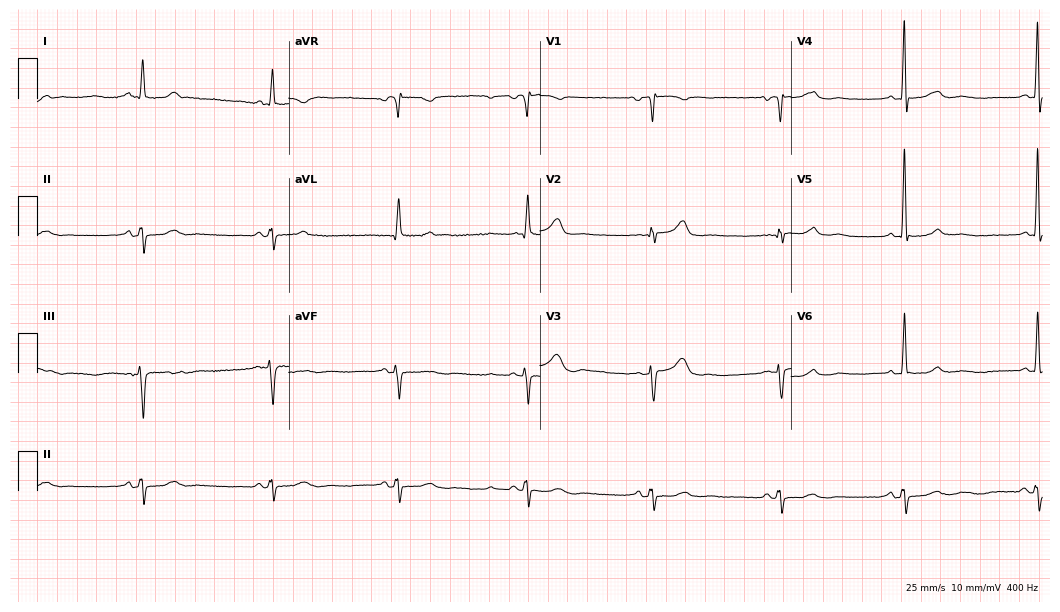
Standard 12-lead ECG recorded from an 83-year-old female. The tracing shows sinus bradycardia (a sinus rate of 50 beats per minute or less).